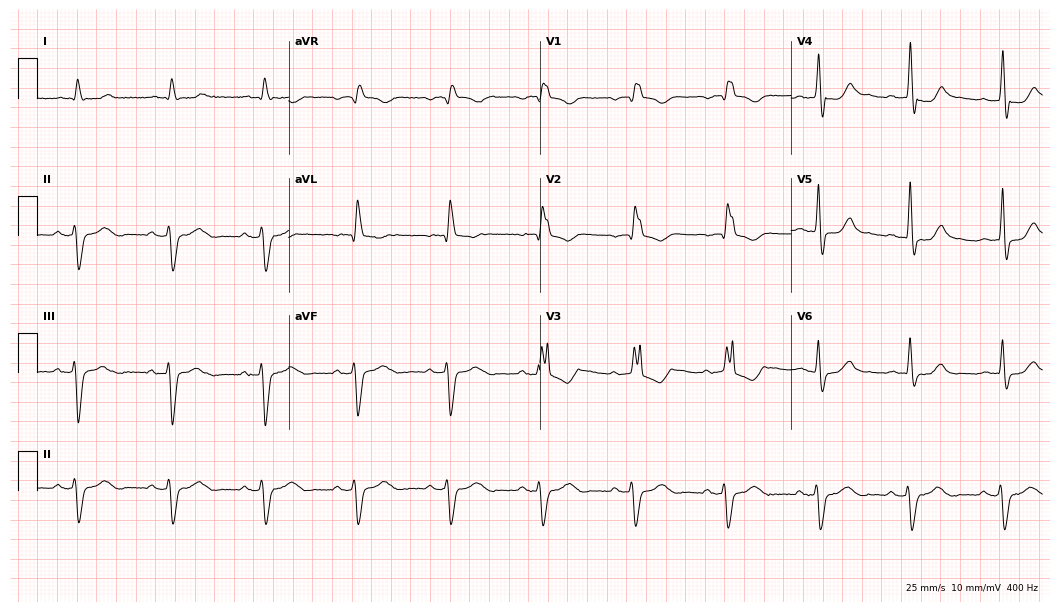
12-lead ECG (10.2-second recording at 400 Hz) from a male patient, 80 years old. Findings include right bundle branch block.